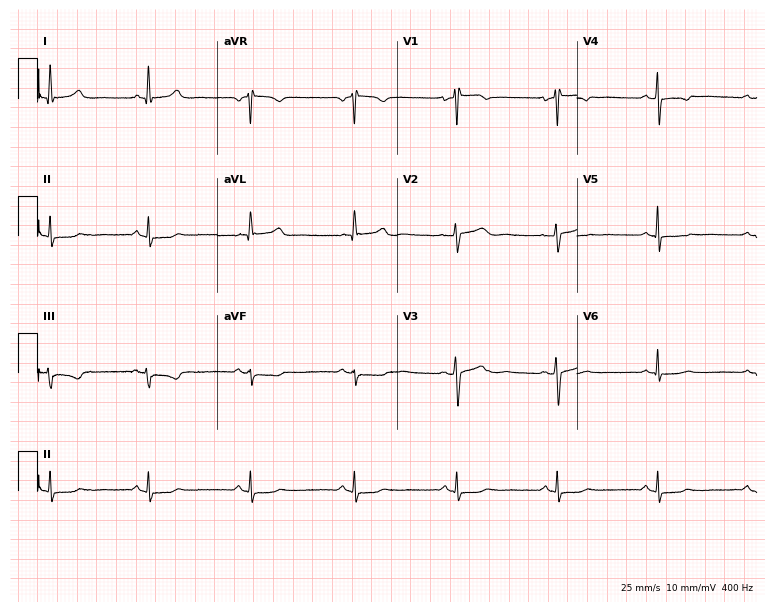
Resting 12-lead electrocardiogram (7.3-second recording at 400 Hz). Patient: a woman, 50 years old. None of these six findings is recorded: first-degree AV block, right bundle branch block, left bundle branch block, sinus bradycardia, atrial fibrillation, sinus tachycardia.